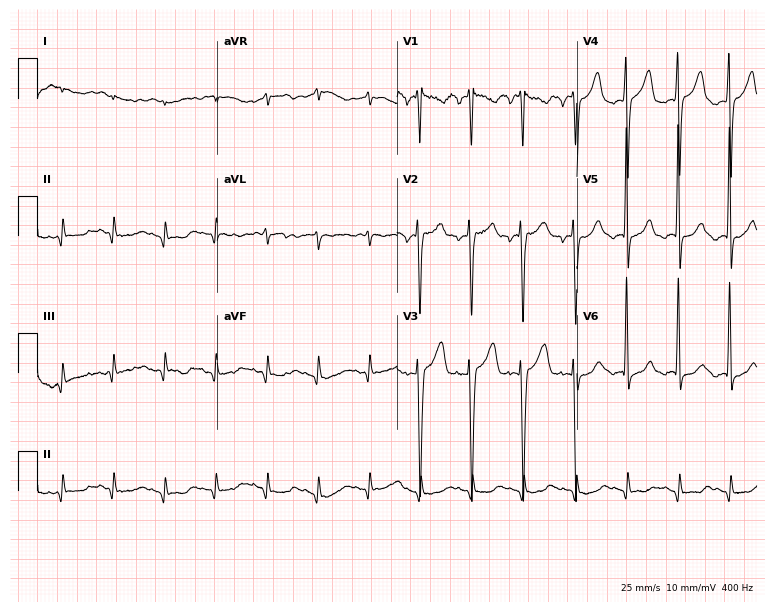
Electrocardiogram, a 46-year-old woman. Of the six screened findings (first-degree AV block, right bundle branch block, left bundle branch block, sinus bradycardia, atrial fibrillation, sinus tachycardia), none is recorded.